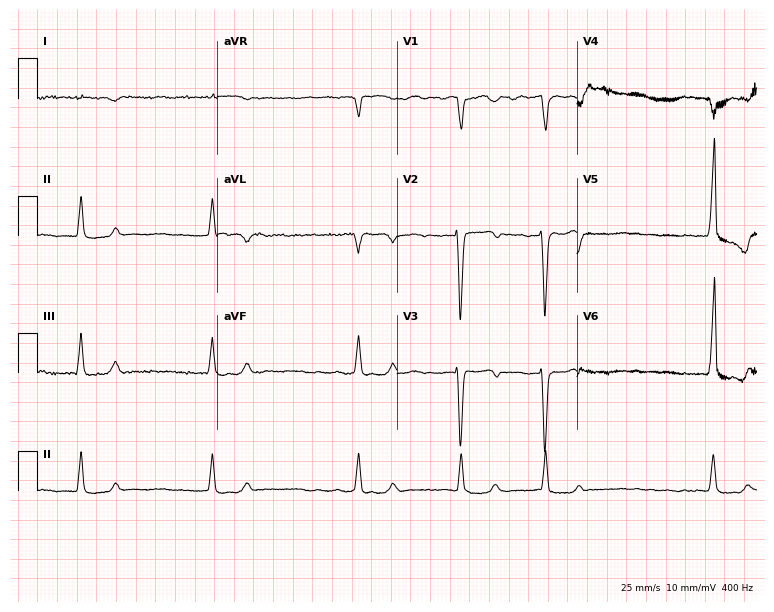
Standard 12-lead ECG recorded from a woman, 73 years old. None of these six findings is recorded: first-degree AV block, right bundle branch block, left bundle branch block, sinus bradycardia, atrial fibrillation, sinus tachycardia. Only these six findings were labelled.